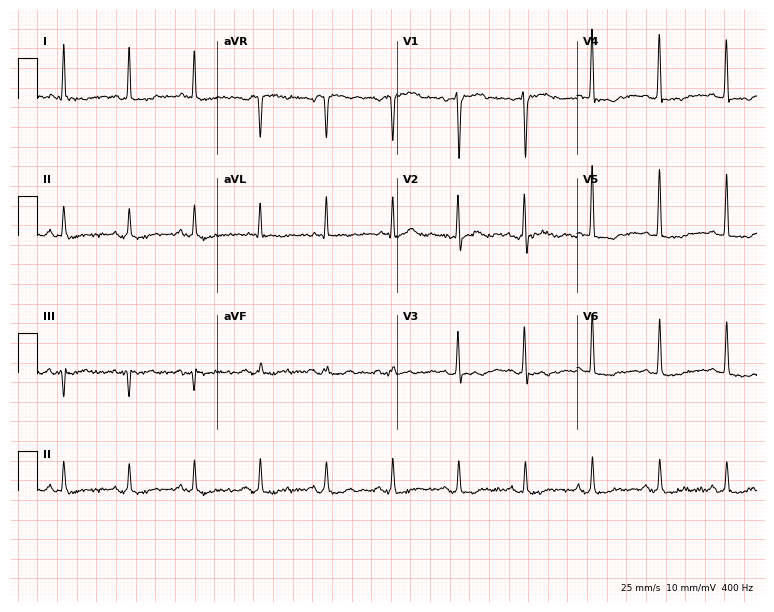
Electrocardiogram, a 79-year-old man. Of the six screened findings (first-degree AV block, right bundle branch block (RBBB), left bundle branch block (LBBB), sinus bradycardia, atrial fibrillation (AF), sinus tachycardia), none is recorded.